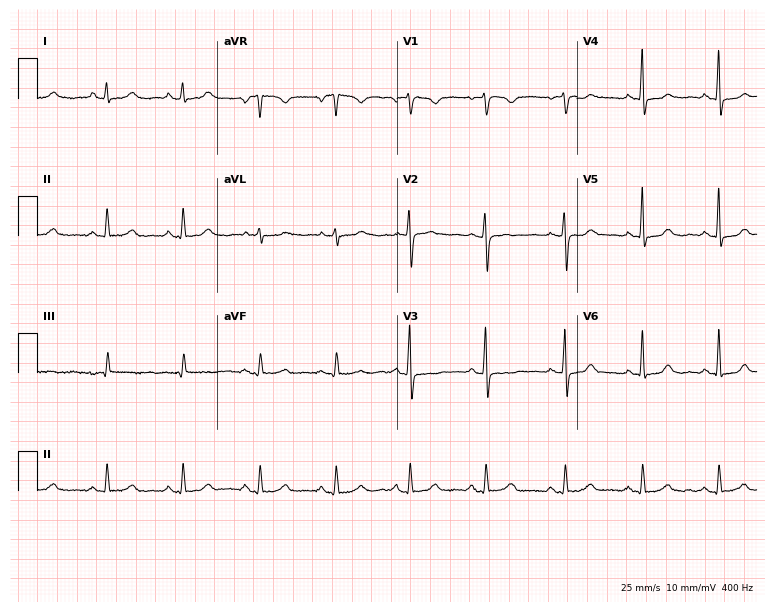
12-lead ECG from a woman, 37 years old. No first-degree AV block, right bundle branch block (RBBB), left bundle branch block (LBBB), sinus bradycardia, atrial fibrillation (AF) or sinus tachycardia recorded for this tracing. Only these six findings were labelled.